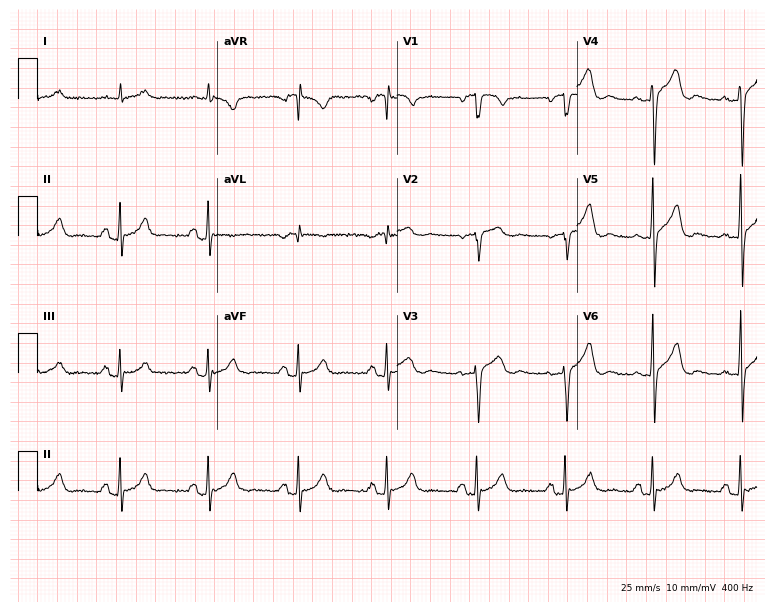
ECG — a 68-year-old male. Labelled as a normal ECG.